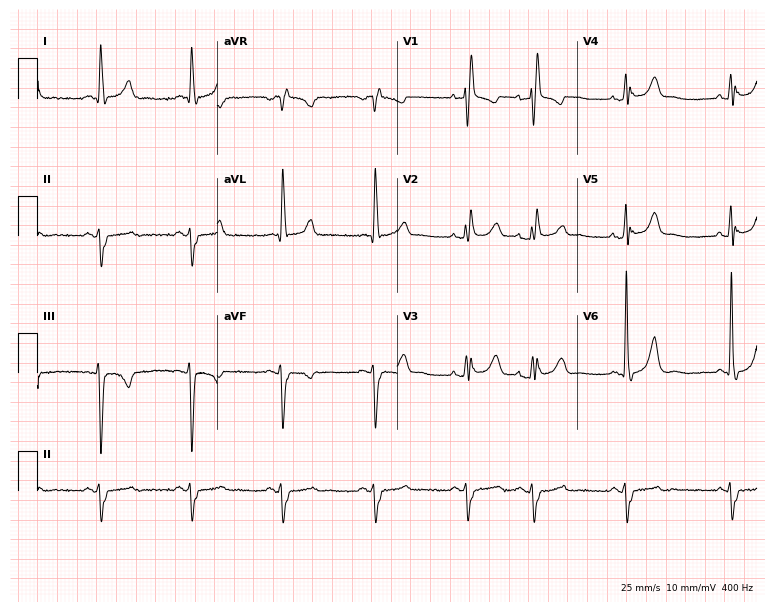
12-lead ECG from an 82-year-old male. Findings include right bundle branch block (RBBB).